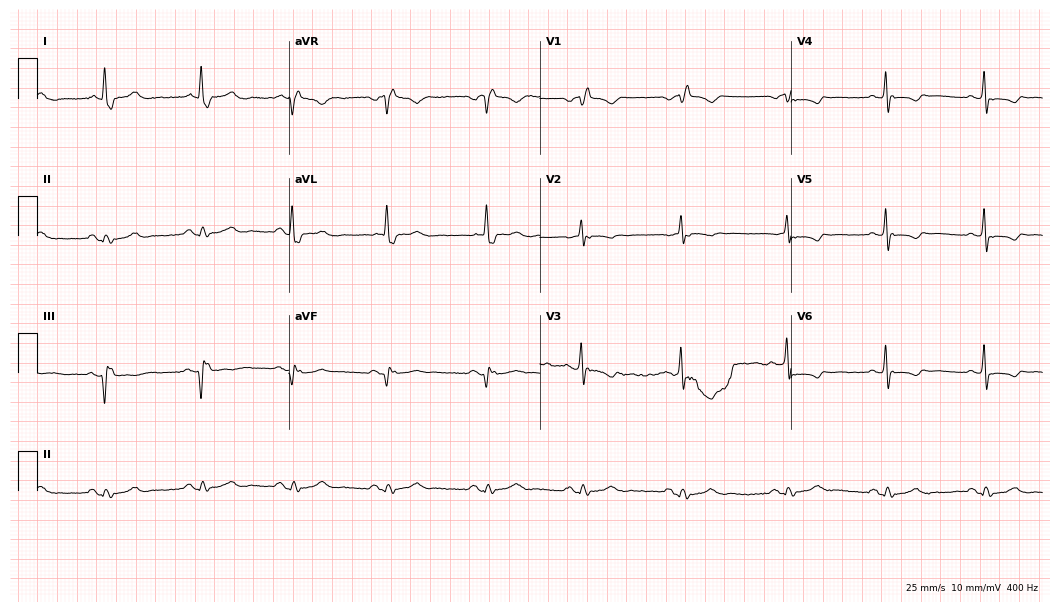
Standard 12-lead ECG recorded from a 70-year-old female. None of these six findings is recorded: first-degree AV block, right bundle branch block (RBBB), left bundle branch block (LBBB), sinus bradycardia, atrial fibrillation (AF), sinus tachycardia.